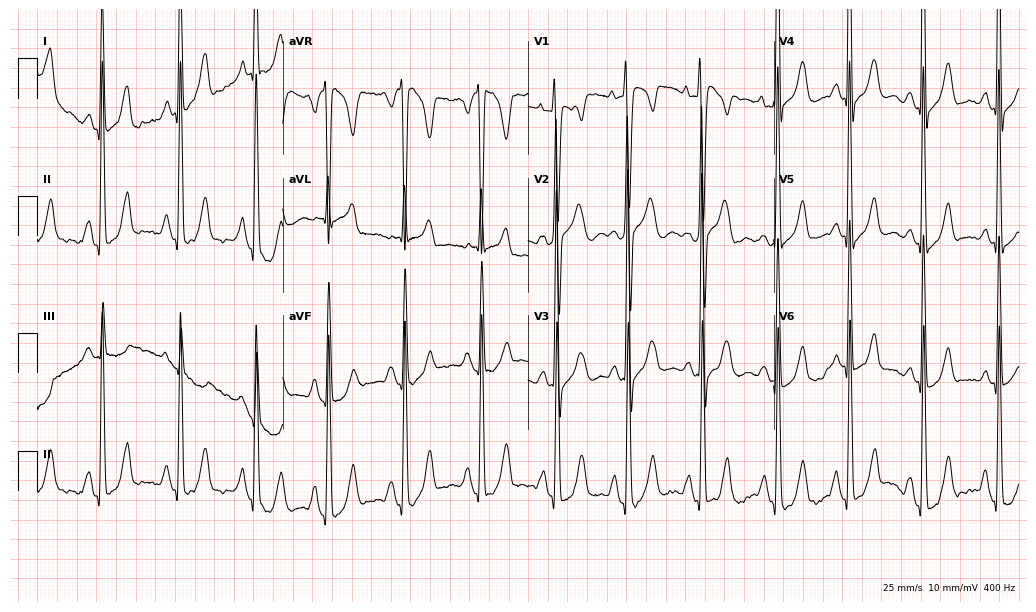
ECG (10-second recording at 400 Hz) — a 43-year-old female. Screened for six findings — first-degree AV block, right bundle branch block, left bundle branch block, sinus bradycardia, atrial fibrillation, sinus tachycardia — none is recorded. Findings outside these six are not listed.